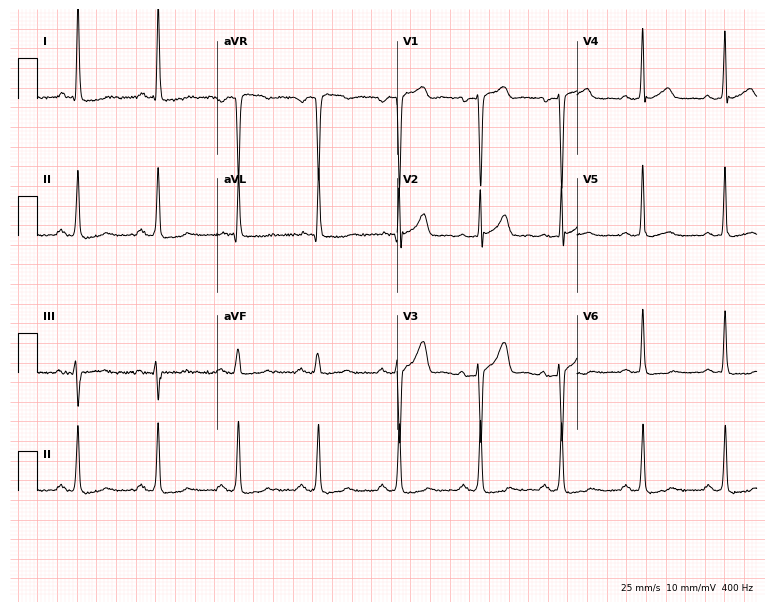
12-lead ECG from a 49-year-old woman. Screened for six findings — first-degree AV block, right bundle branch block, left bundle branch block, sinus bradycardia, atrial fibrillation, sinus tachycardia — none is recorded. Other findings, if any, are not listed.